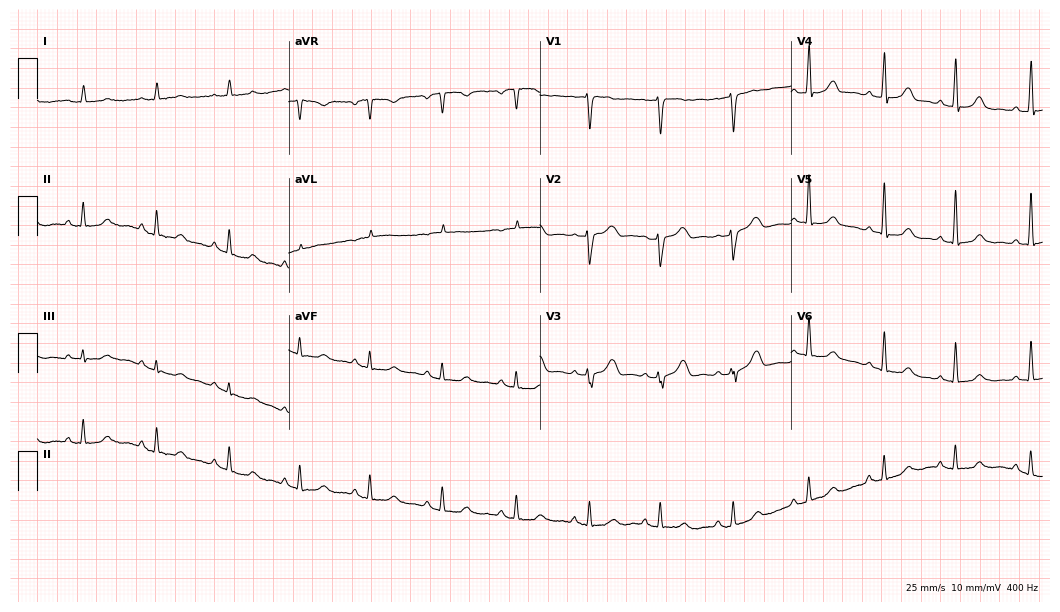
12-lead ECG from a female patient, 59 years old (10.2-second recording at 400 Hz). Recorded interpretation: within normal limits.